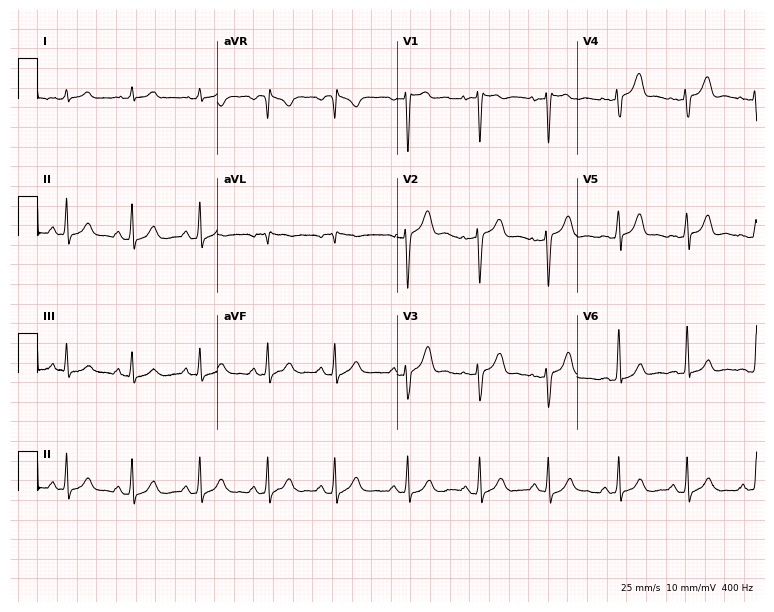
Standard 12-lead ECG recorded from a male, 24 years old. None of these six findings is recorded: first-degree AV block, right bundle branch block, left bundle branch block, sinus bradycardia, atrial fibrillation, sinus tachycardia.